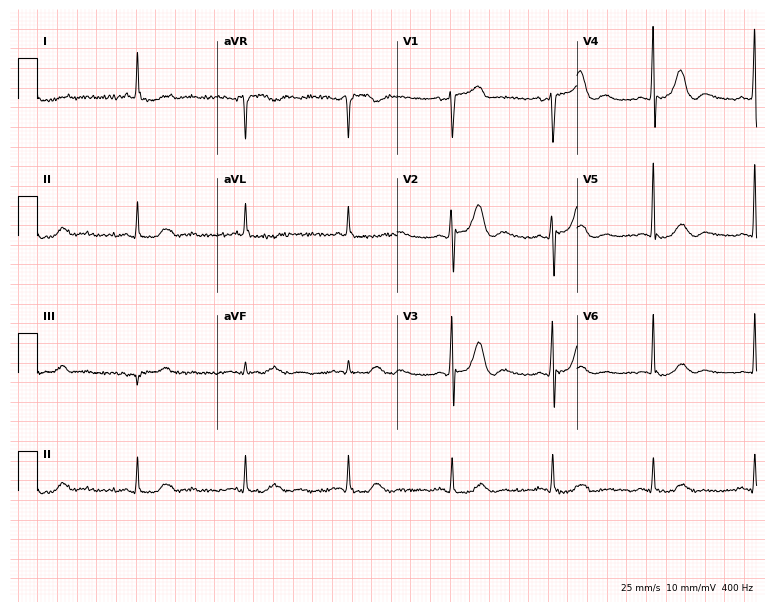
12-lead ECG from a 72-year-old man (7.3-second recording at 400 Hz). No first-degree AV block, right bundle branch block, left bundle branch block, sinus bradycardia, atrial fibrillation or sinus tachycardia recorded for this tracing.